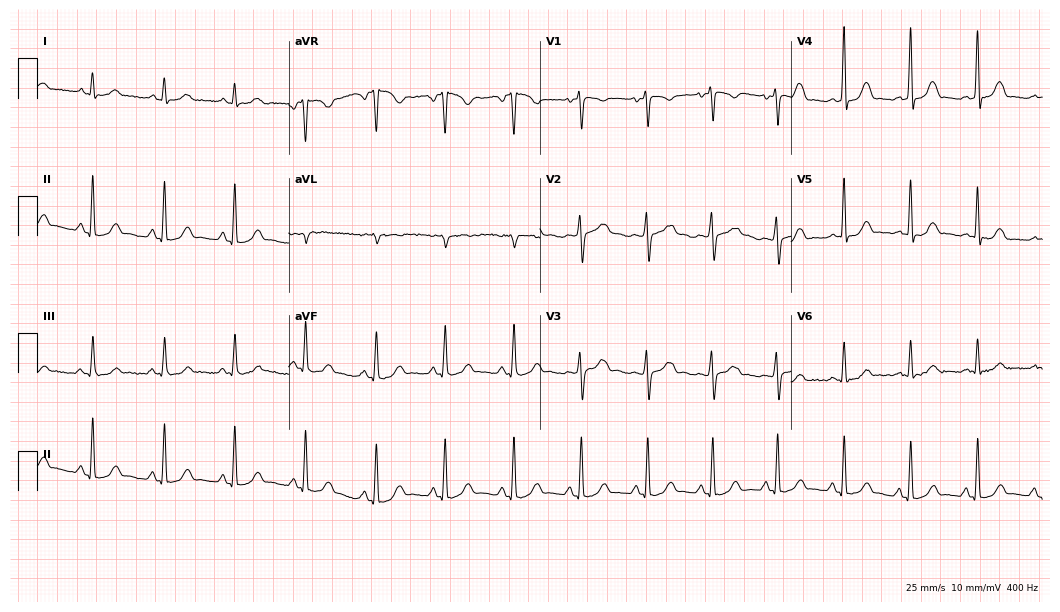
Standard 12-lead ECG recorded from a female, 17 years old (10.2-second recording at 400 Hz). None of these six findings is recorded: first-degree AV block, right bundle branch block, left bundle branch block, sinus bradycardia, atrial fibrillation, sinus tachycardia.